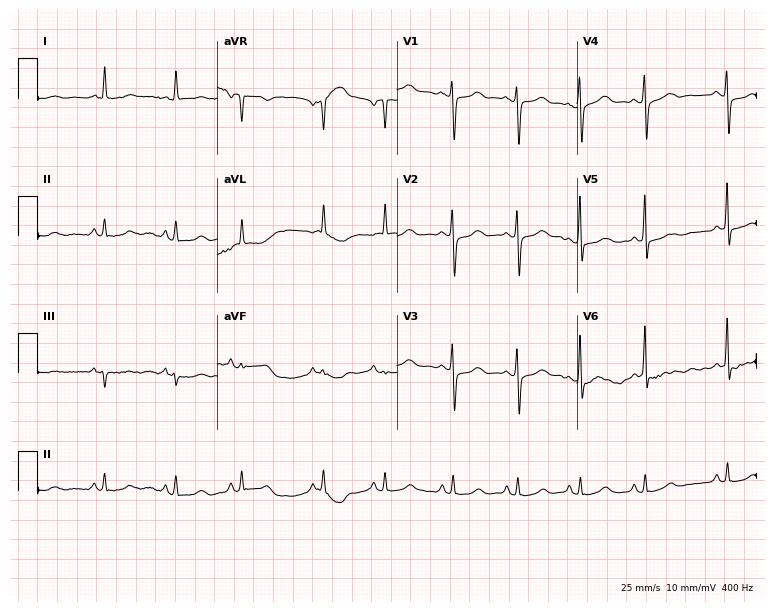
12-lead ECG (7.3-second recording at 400 Hz) from a female patient, 50 years old. Screened for six findings — first-degree AV block, right bundle branch block (RBBB), left bundle branch block (LBBB), sinus bradycardia, atrial fibrillation (AF), sinus tachycardia — none is recorded.